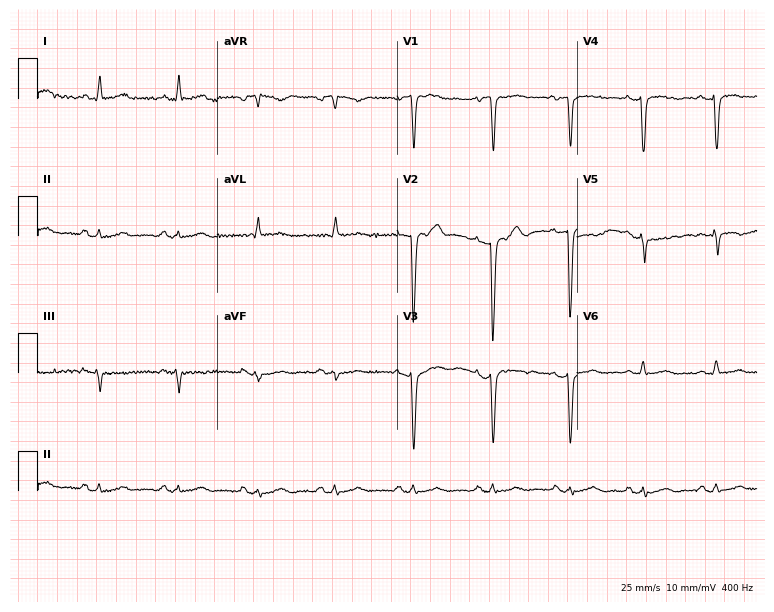
ECG — a male, 42 years old. Screened for six findings — first-degree AV block, right bundle branch block, left bundle branch block, sinus bradycardia, atrial fibrillation, sinus tachycardia — none is recorded. Only these six findings were labelled.